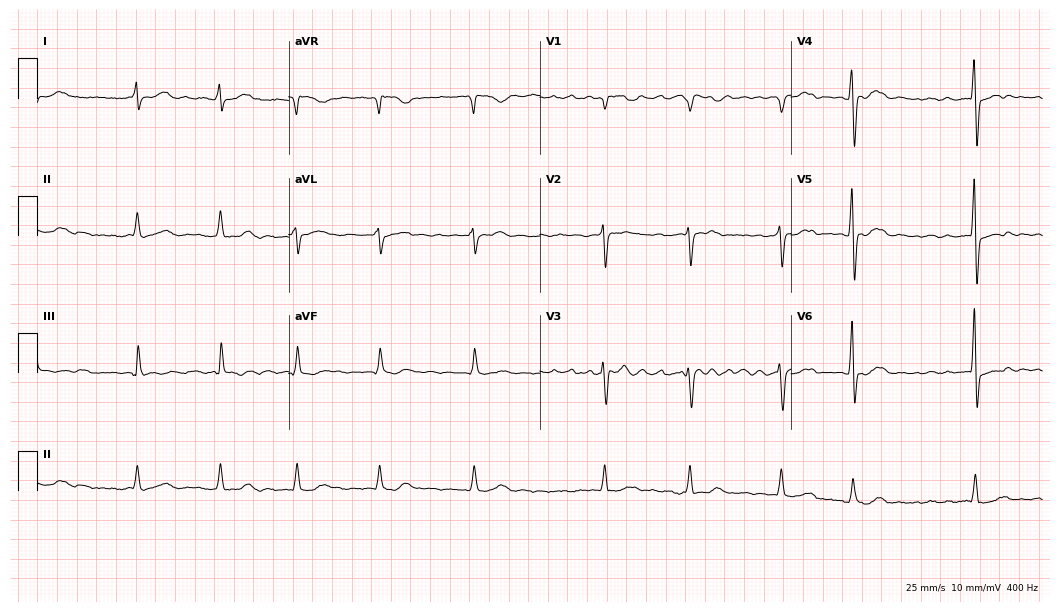
Standard 12-lead ECG recorded from a 74-year-old man. The tracing shows atrial fibrillation (AF).